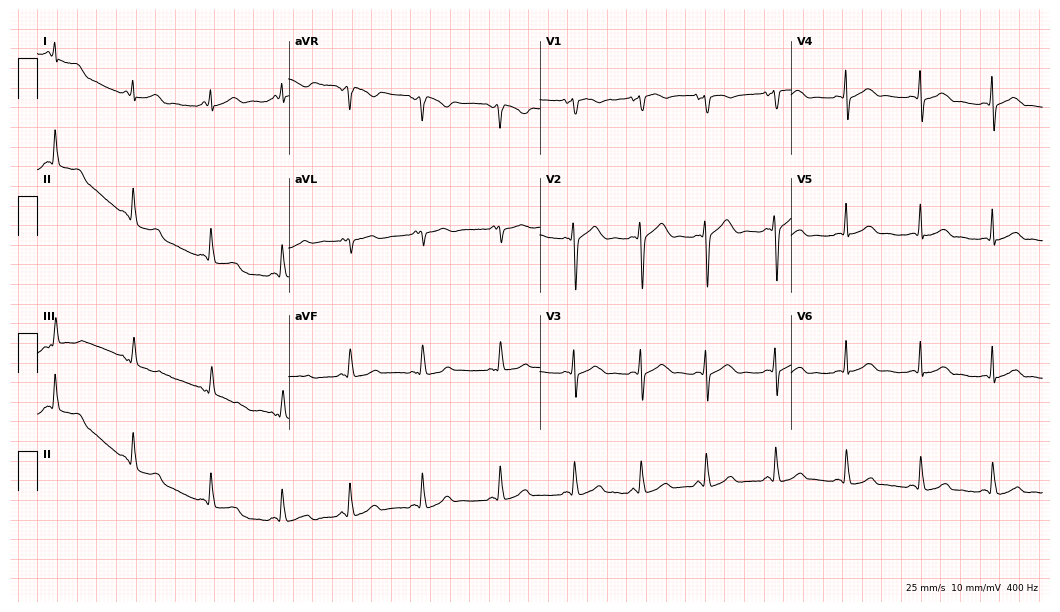
12-lead ECG from a female, 23 years old. Recorded interpretation: within normal limits.